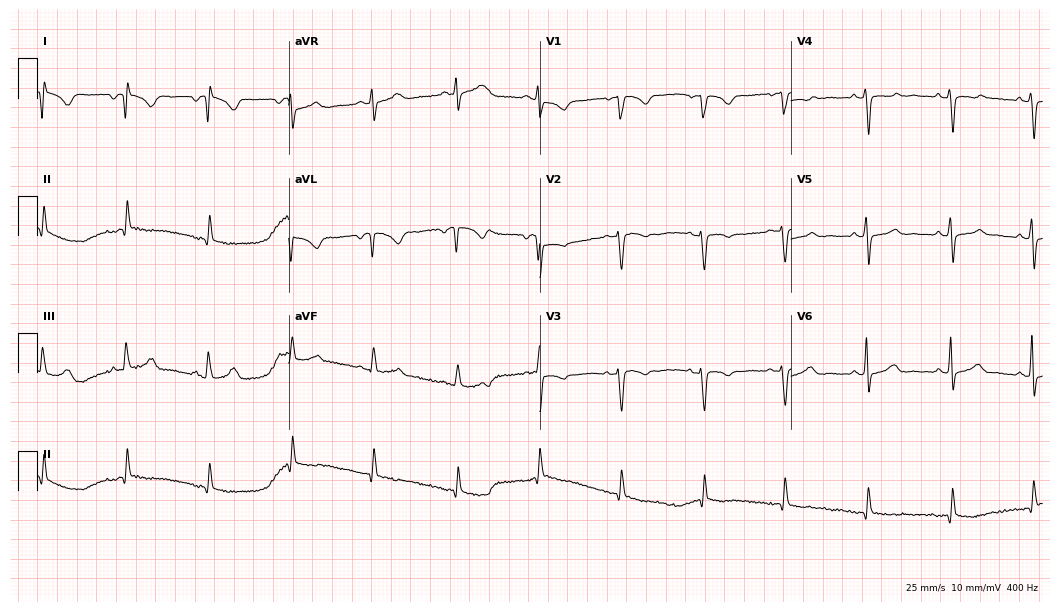
Standard 12-lead ECG recorded from a 33-year-old woman. None of these six findings is recorded: first-degree AV block, right bundle branch block (RBBB), left bundle branch block (LBBB), sinus bradycardia, atrial fibrillation (AF), sinus tachycardia. Only these six findings were labelled.